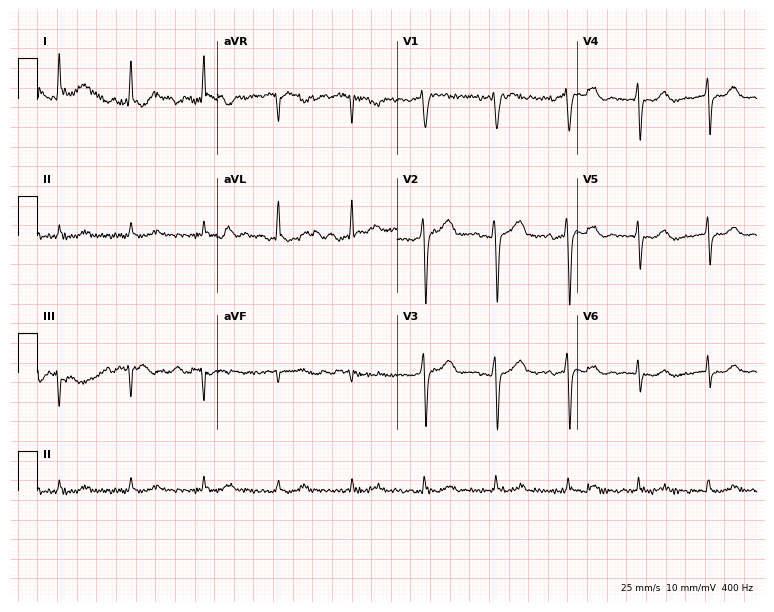
12-lead ECG (7.3-second recording at 400 Hz) from a 65-year-old female patient. Screened for six findings — first-degree AV block, right bundle branch block, left bundle branch block, sinus bradycardia, atrial fibrillation, sinus tachycardia — none is recorded. Other findings, if any, are not listed.